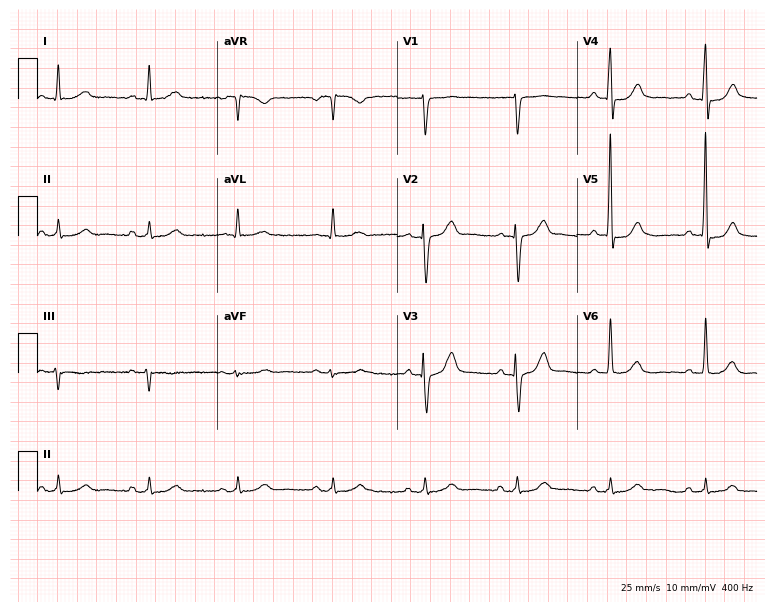
Electrocardiogram (7.3-second recording at 400 Hz), an 85-year-old male patient. Overall reading on record: normal ECG.